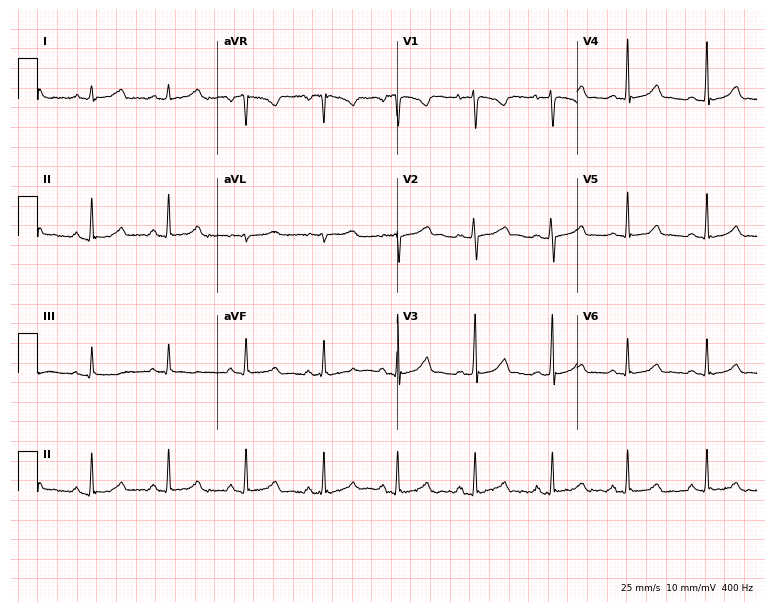
Standard 12-lead ECG recorded from a female, 28 years old. Read as a normal ECG.